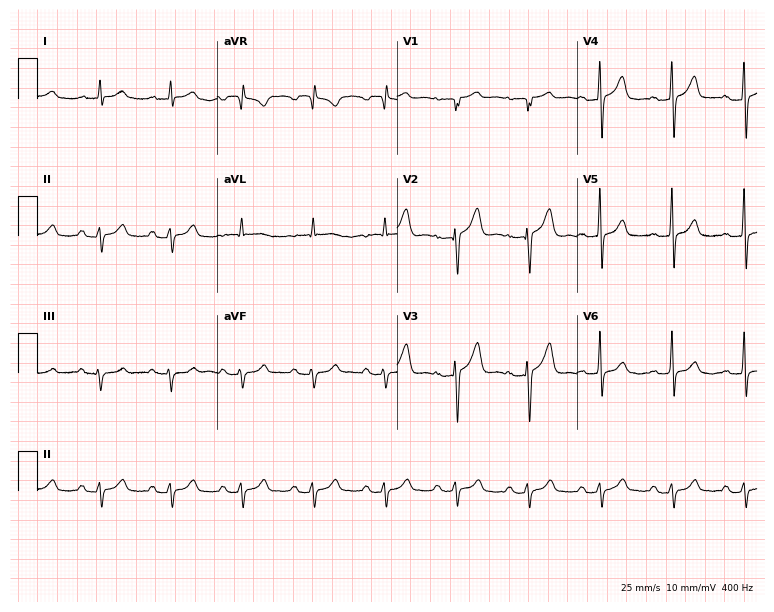
ECG (7.3-second recording at 400 Hz) — a man, 68 years old. Screened for six findings — first-degree AV block, right bundle branch block, left bundle branch block, sinus bradycardia, atrial fibrillation, sinus tachycardia — none is recorded.